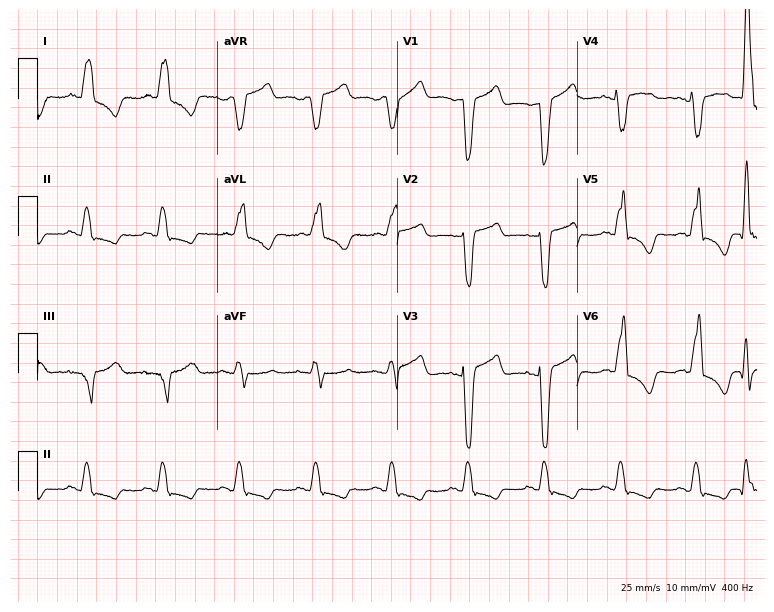
12-lead ECG (7.3-second recording at 400 Hz) from a 77-year-old female. Findings include left bundle branch block.